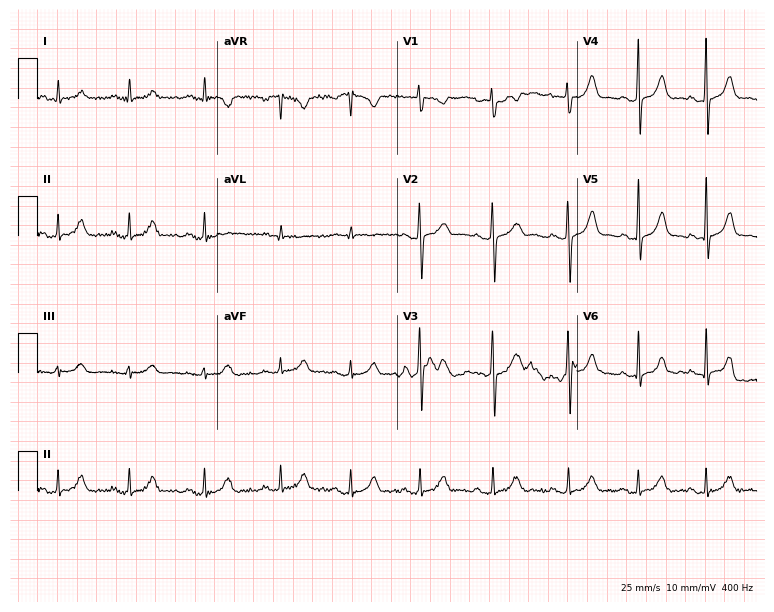
12-lead ECG from a 21-year-old female patient. Labelled as a normal ECG.